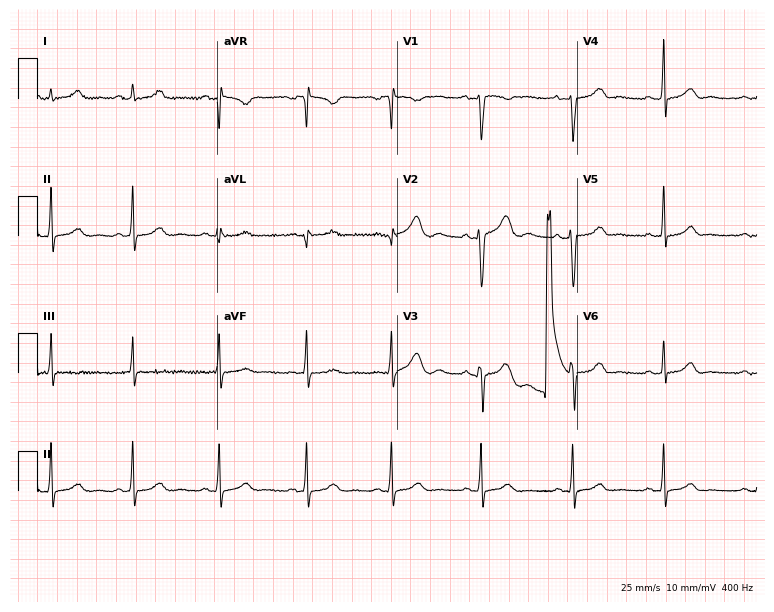
Electrocardiogram (7.3-second recording at 400 Hz), a 28-year-old female patient. Overall reading on record: normal ECG.